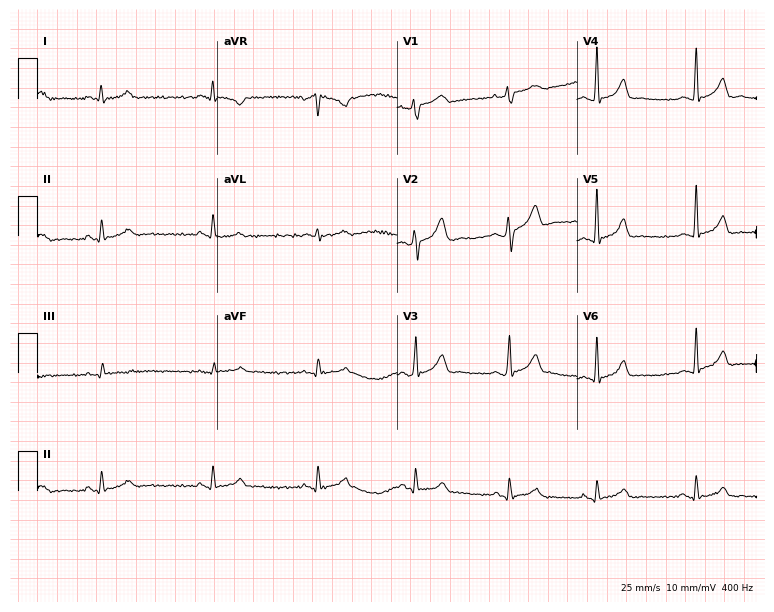
Electrocardiogram (7.3-second recording at 400 Hz), a 23-year-old male patient. Of the six screened findings (first-degree AV block, right bundle branch block, left bundle branch block, sinus bradycardia, atrial fibrillation, sinus tachycardia), none is recorded.